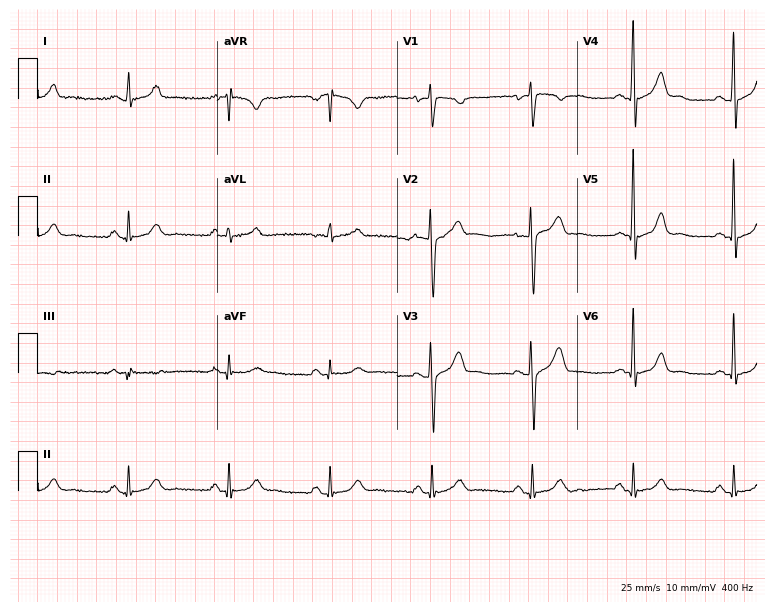
12-lead ECG from a male patient, 23 years old (7.3-second recording at 400 Hz). No first-degree AV block, right bundle branch block, left bundle branch block, sinus bradycardia, atrial fibrillation or sinus tachycardia recorded for this tracing. Findings outside these six are not listed.